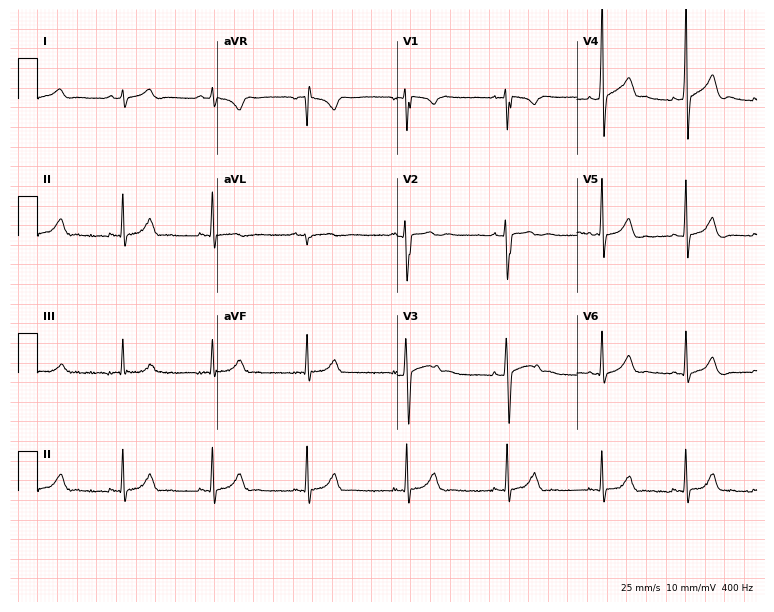
Resting 12-lead electrocardiogram. Patient: an 18-year-old man. None of these six findings is recorded: first-degree AV block, right bundle branch block, left bundle branch block, sinus bradycardia, atrial fibrillation, sinus tachycardia. Other findings, if any, are not listed.